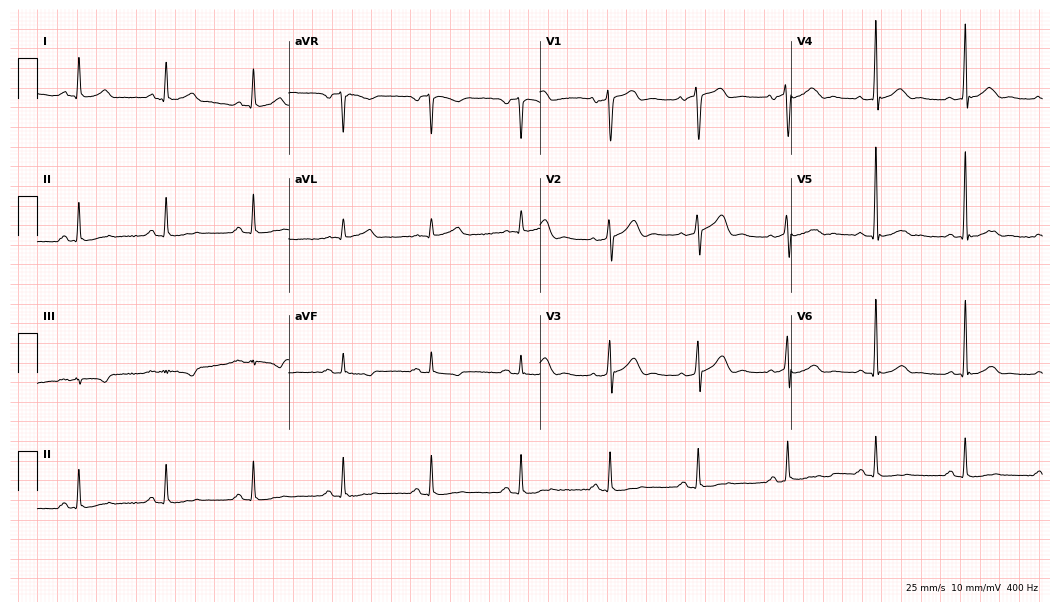
ECG — a female patient, 56 years old. Labelled as a normal ECG.